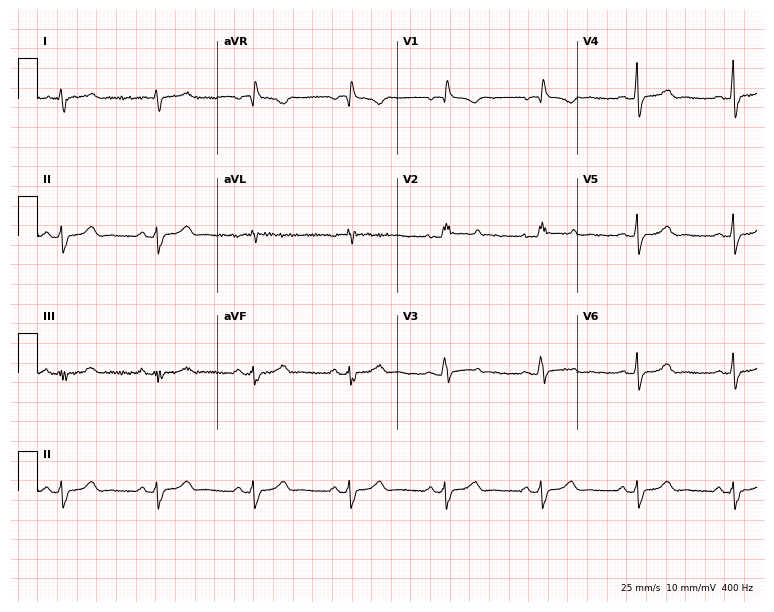
Electrocardiogram, a 41-year-old female patient. Of the six screened findings (first-degree AV block, right bundle branch block, left bundle branch block, sinus bradycardia, atrial fibrillation, sinus tachycardia), none is recorded. Findings outside these six are not listed.